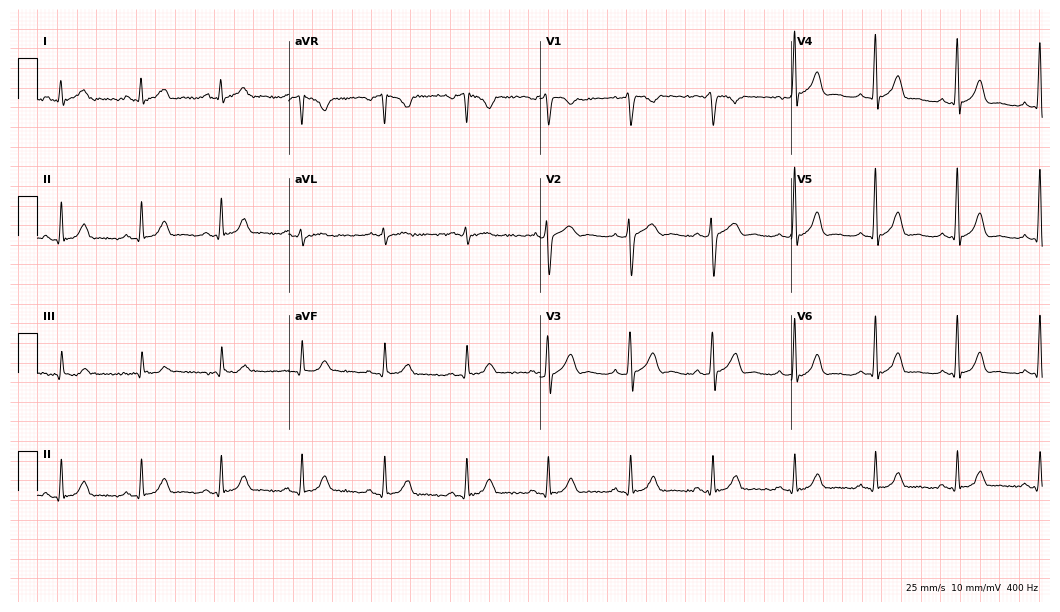
ECG (10.2-second recording at 400 Hz) — a male patient, 46 years old. Screened for six findings — first-degree AV block, right bundle branch block, left bundle branch block, sinus bradycardia, atrial fibrillation, sinus tachycardia — none is recorded. Other findings, if any, are not listed.